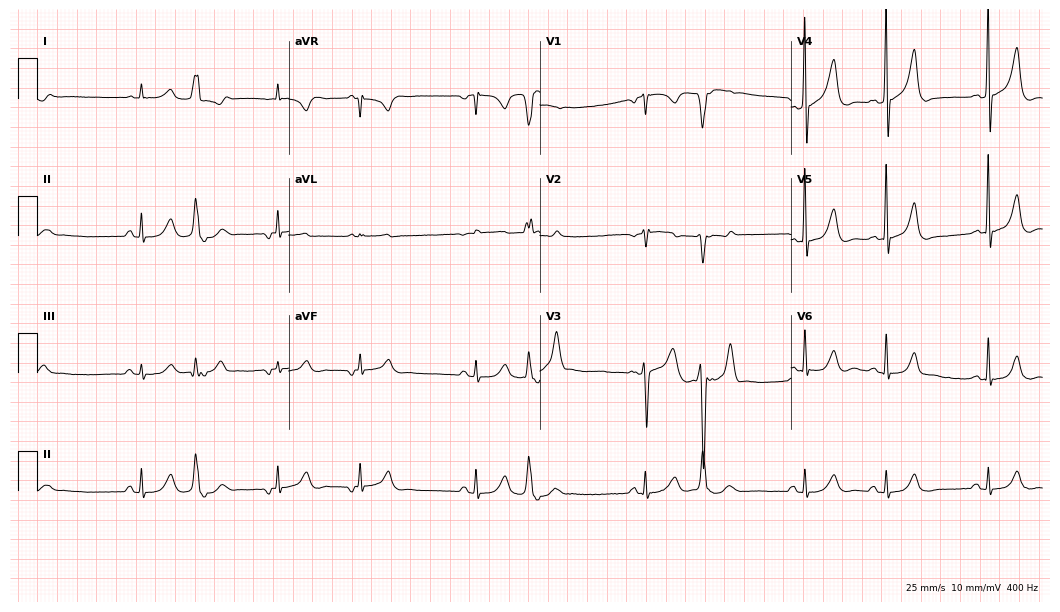
Electrocardiogram, a male, 70 years old. Of the six screened findings (first-degree AV block, right bundle branch block, left bundle branch block, sinus bradycardia, atrial fibrillation, sinus tachycardia), none is recorded. Findings outside these six are not listed.